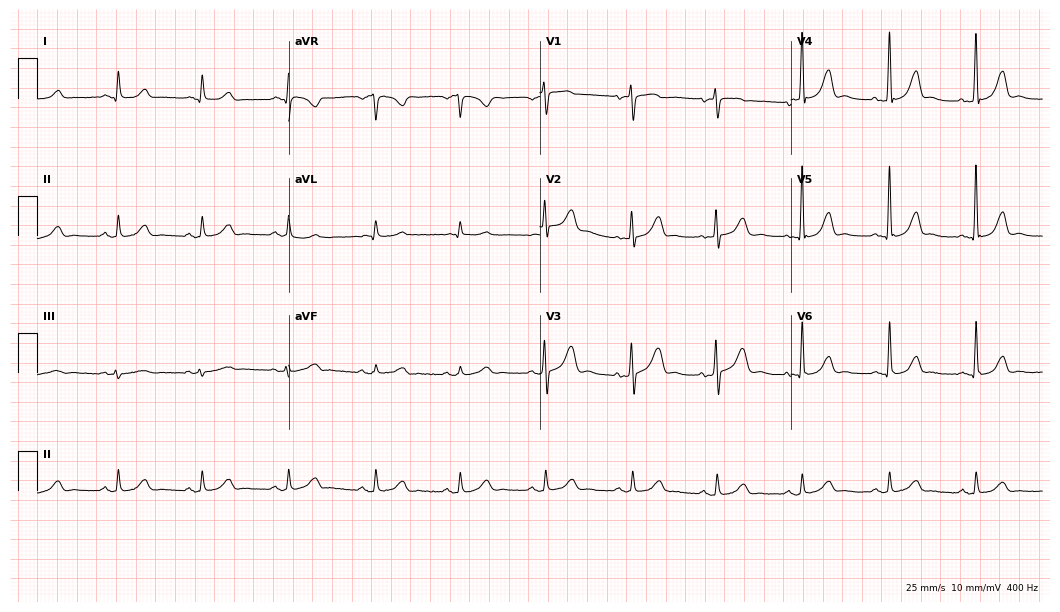
ECG — a 70-year-old woman. Labelled as a normal ECG.